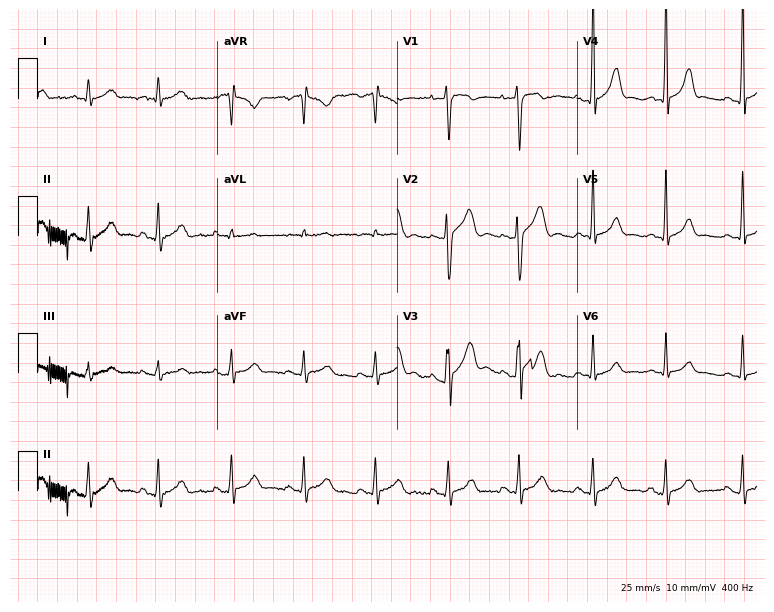
Standard 12-lead ECG recorded from a man, 17 years old (7.3-second recording at 400 Hz). Read as a normal ECG.